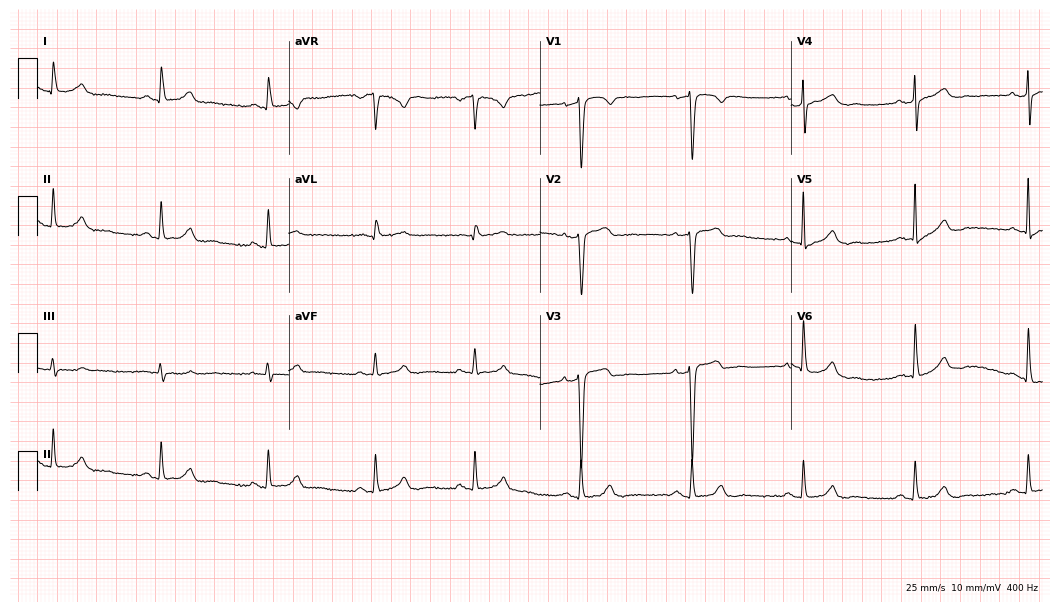
ECG — a 52-year-old male patient. Labelled as a normal ECG.